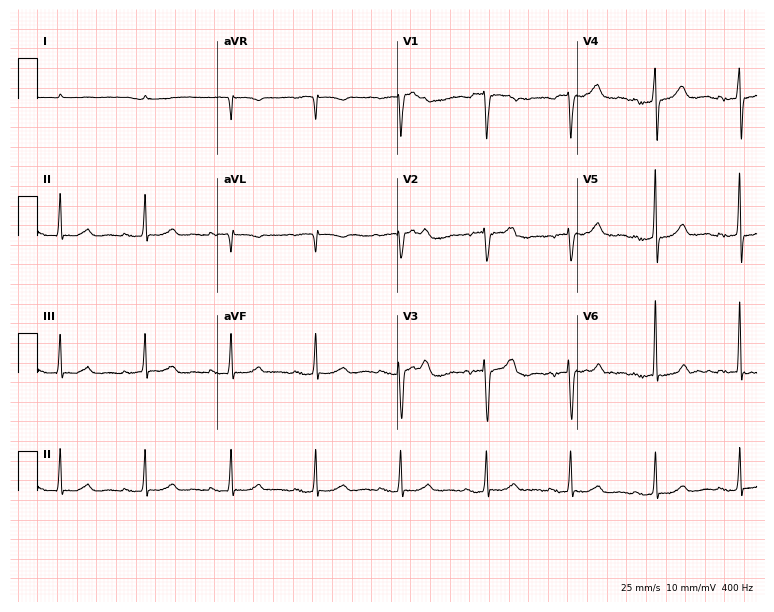
12-lead ECG from a 76-year-old woman. No first-degree AV block, right bundle branch block, left bundle branch block, sinus bradycardia, atrial fibrillation or sinus tachycardia recorded for this tracing. Other findings, if any, are not listed.